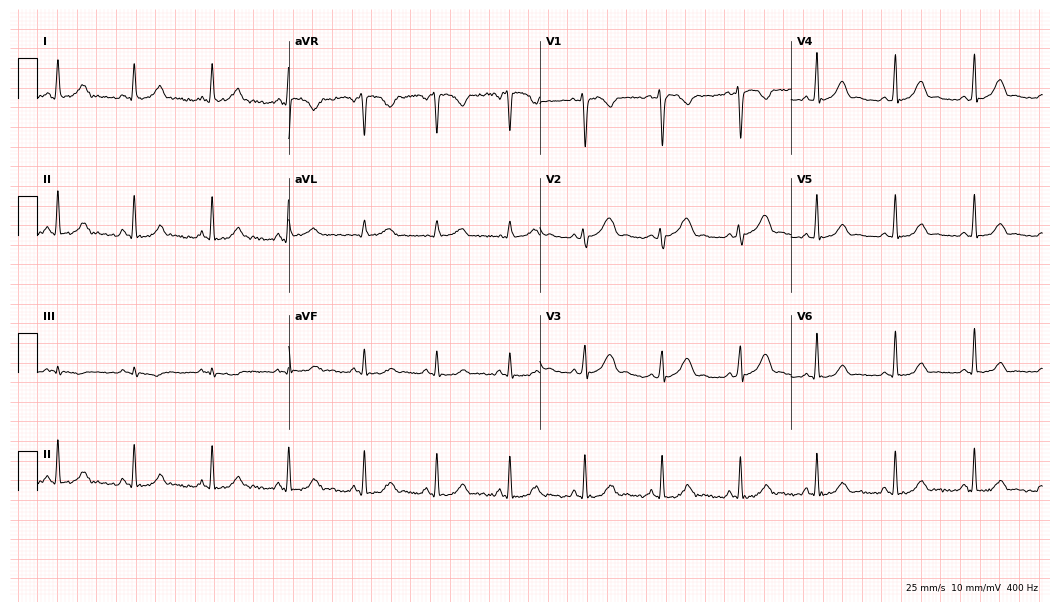
Standard 12-lead ECG recorded from a 30-year-old female (10.2-second recording at 400 Hz). Read as a normal ECG.